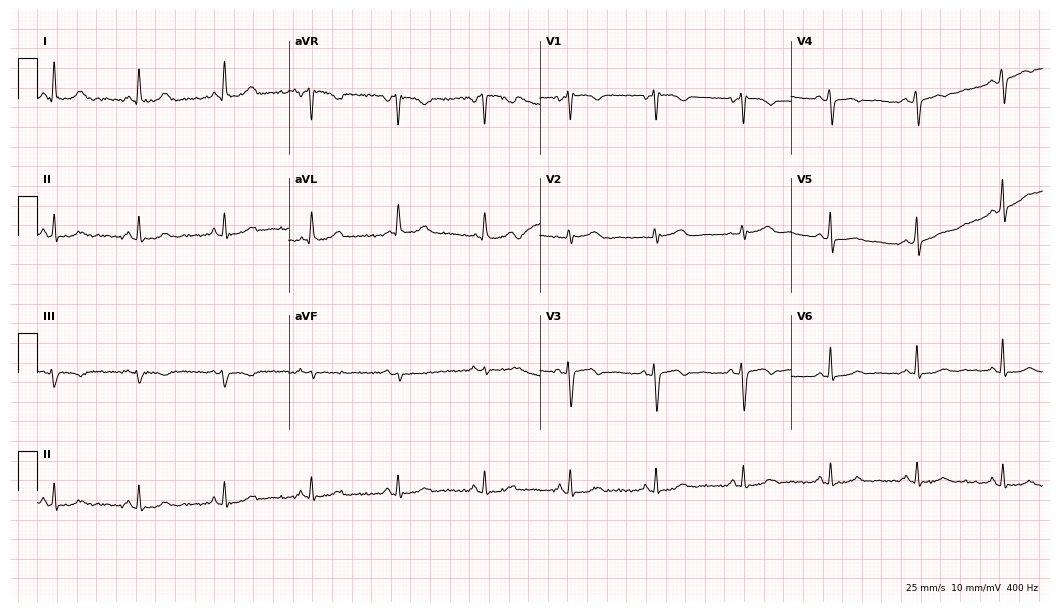
Electrocardiogram, a 59-year-old woman. Of the six screened findings (first-degree AV block, right bundle branch block (RBBB), left bundle branch block (LBBB), sinus bradycardia, atrial fibrillation (AF), sinus tachycardia), none is recorded.